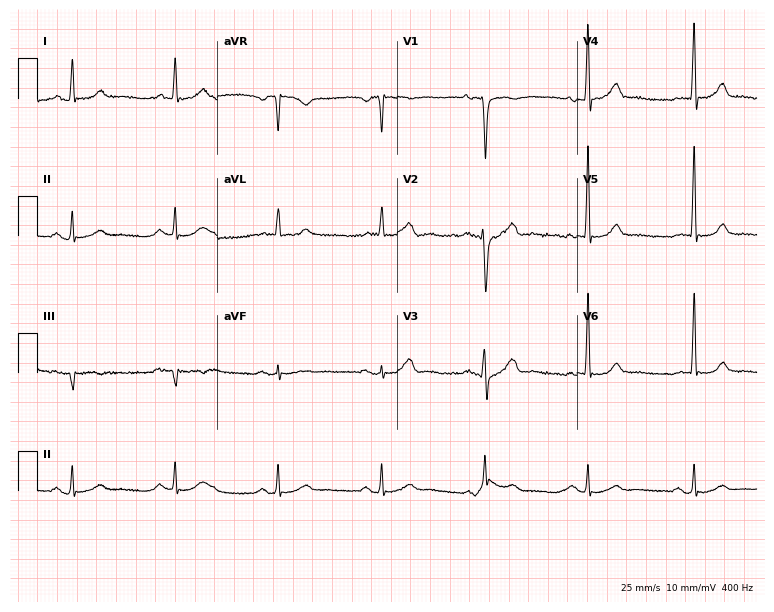
Standard 12-lead ECG recorded from a 55-year-old man. None of these six findings is recorded: first-degree AV block, right bundle branch block (RBBB), left bundle branch block (LBBB), sinus bradycardia, atrial fibrillation (AF), sinus tachycardia. Other findings, if any, are not listed.